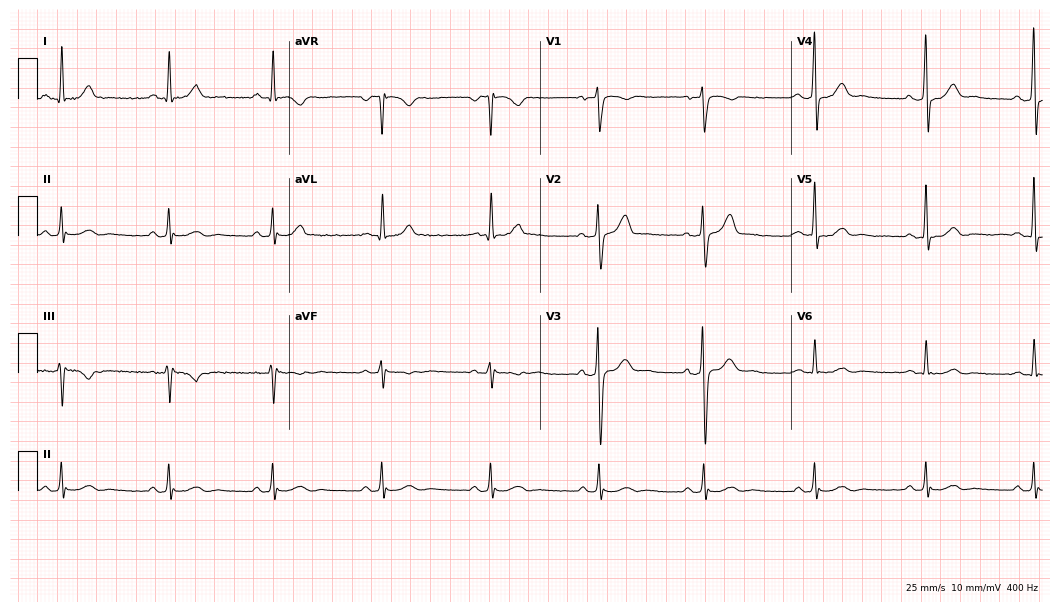
ECG — a male patient, 46 years old. Labelled as a normal ECG.